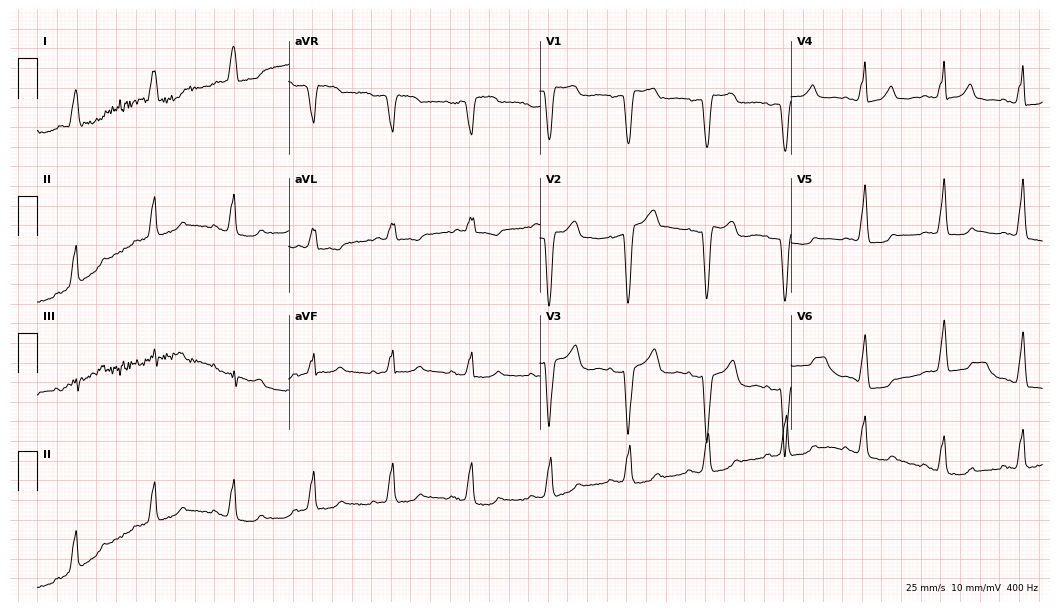
12-lead ECG from a female, 74 years old (10.2-second recording at 400 Hz). Shows left bundle branch block.